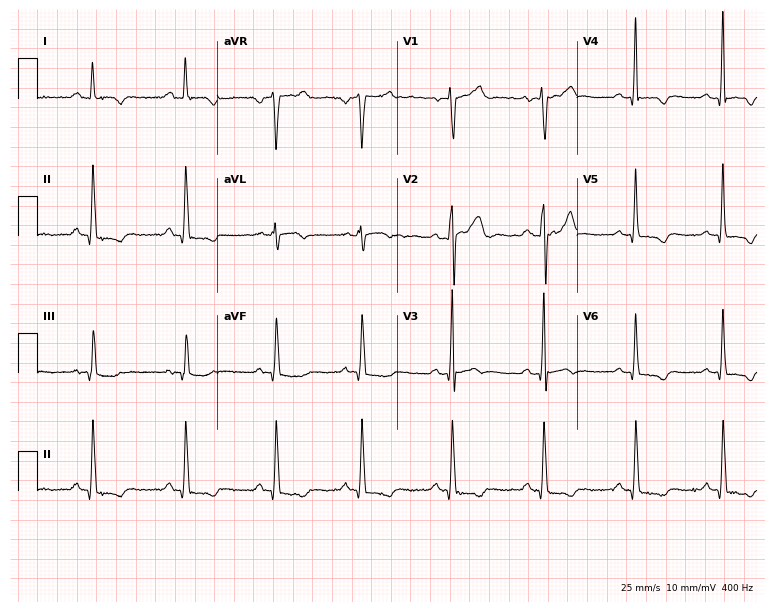
Standard 12-lead ECG recorded from a male patient, 30 years old (7.3-second recording at 400 Hz). None of these six findings is recorded: first-degree AV block, right bundle branch block, left bundle branch block, sinus bradycardia, atrial fibrillation, sinus tachycardia. Findings outside these six are not listed.